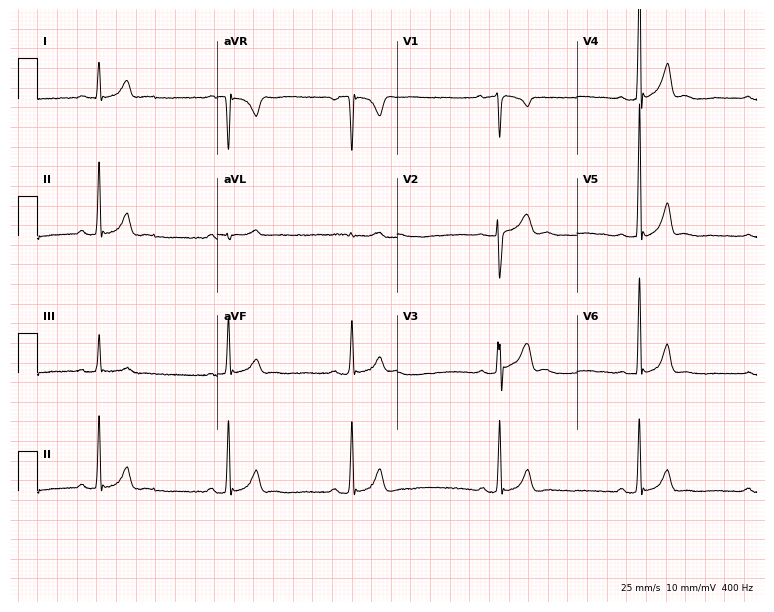
12-lead ECG (7.3-second recording at 400 Hz) from a male patient, 19 years old. Findings include sinus bradycardia (a sinus rate of 50 beats per minute or less).